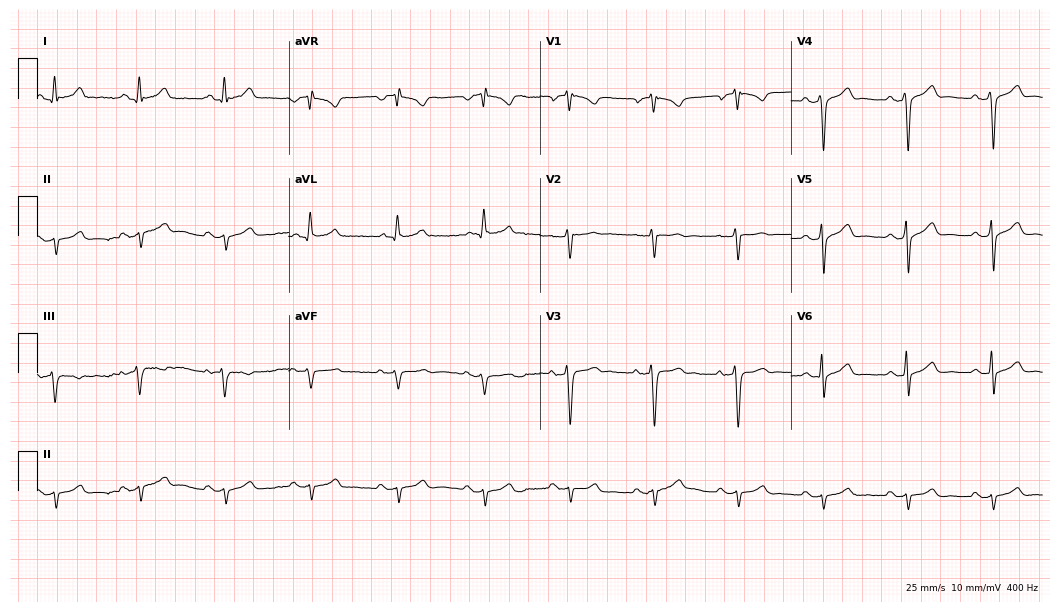
ECG (10.2-second recording at 400 Hz) — a 48-year-old male patient. Screened for six findings — first-degree AV block, right bundle branch block (RBBB), left bundle branch block (LBBB), sinus bradycardia, atrial fibrillation (AF), sinus tachycardia — none is recorded. Findings outside these six are not listed.